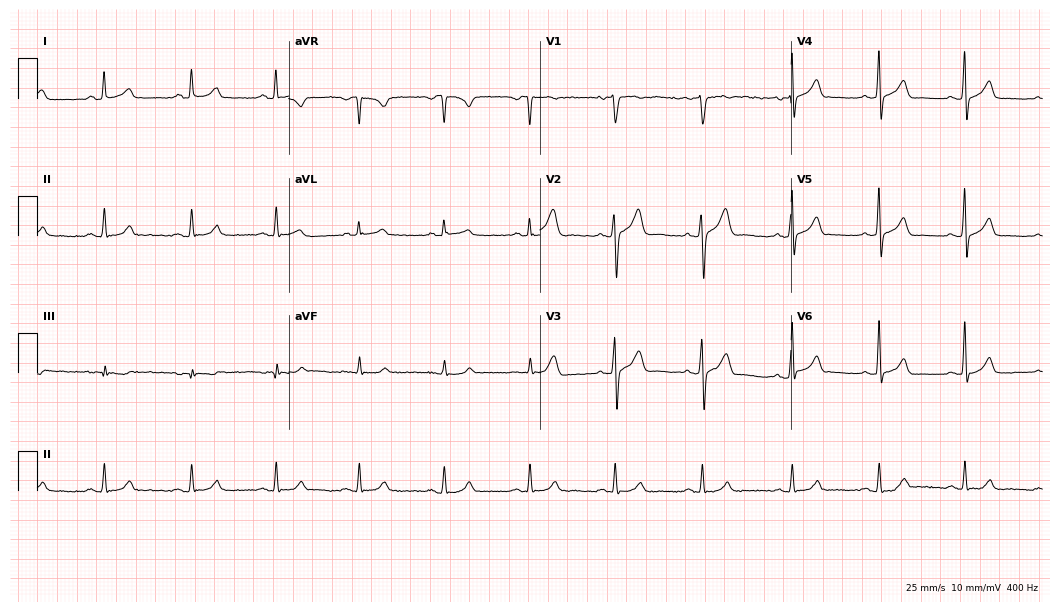
Resting 12-lead electrocardiogram. Patient: a 33-year-old male. Read as a normal ECG.